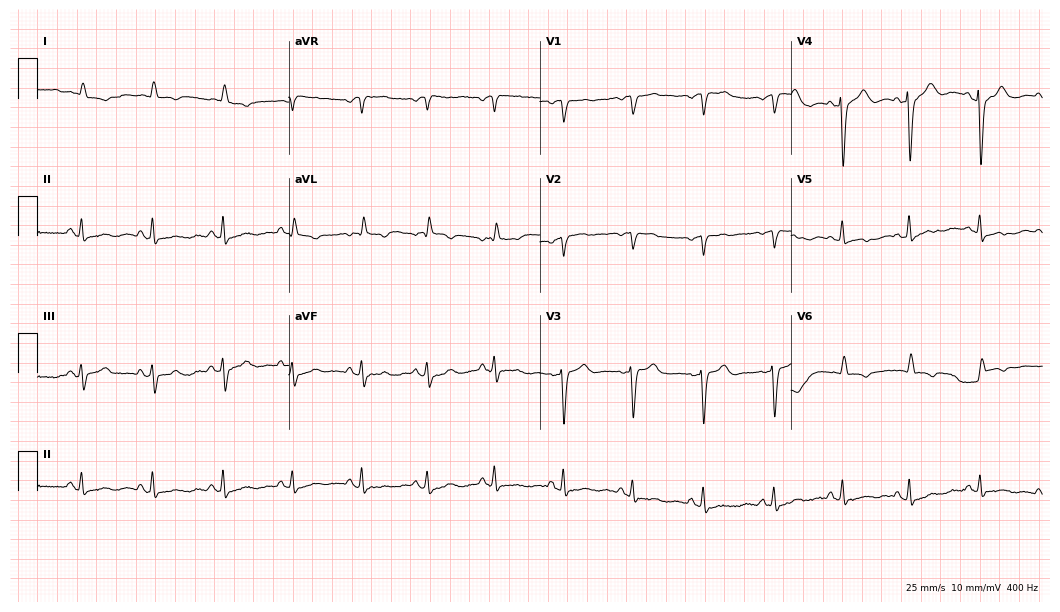
Standard 12-lead ECG recorded from a 70-year-old female (10.2-second recording at 400 Hz). None of these six findings is recorded: first-degree AV block, right bundle branch block, left bundle branch block, sinus bradycardia, atrial fibrillation, sinus tachycardia.